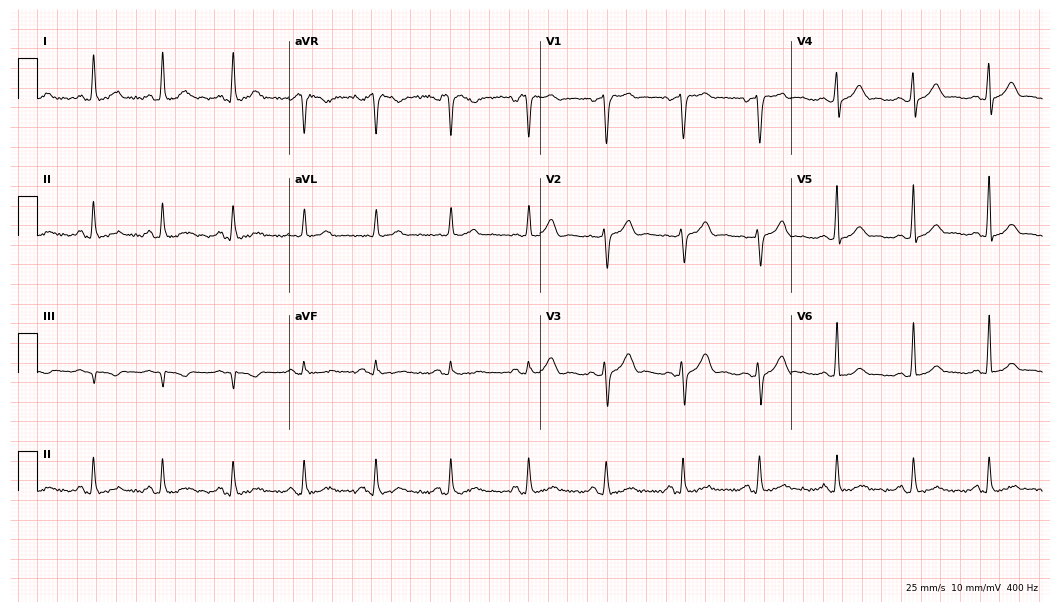
Standard 12-lead ECG recorded from a 36-year-old male (10.2-second recording at 400 Hz). Read as a normal ECG.